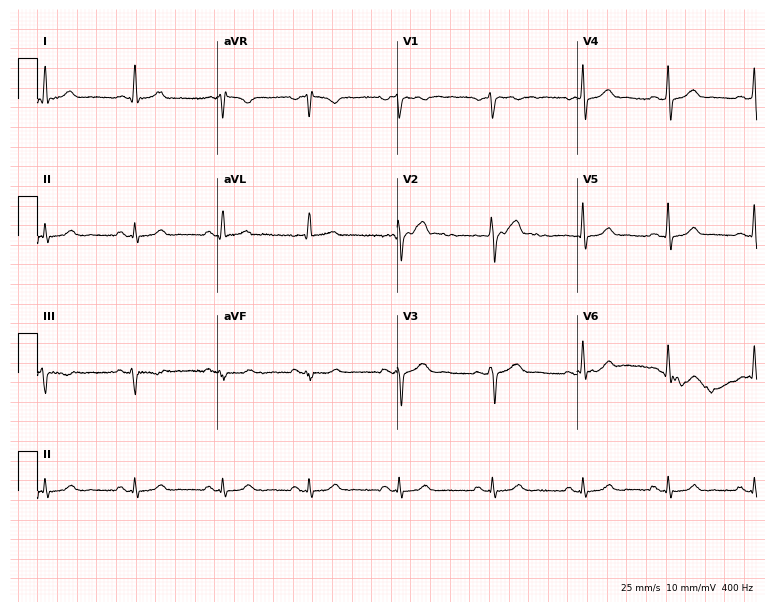
ECG — a male patient, 49 years old. Labelled as a normal ECG.